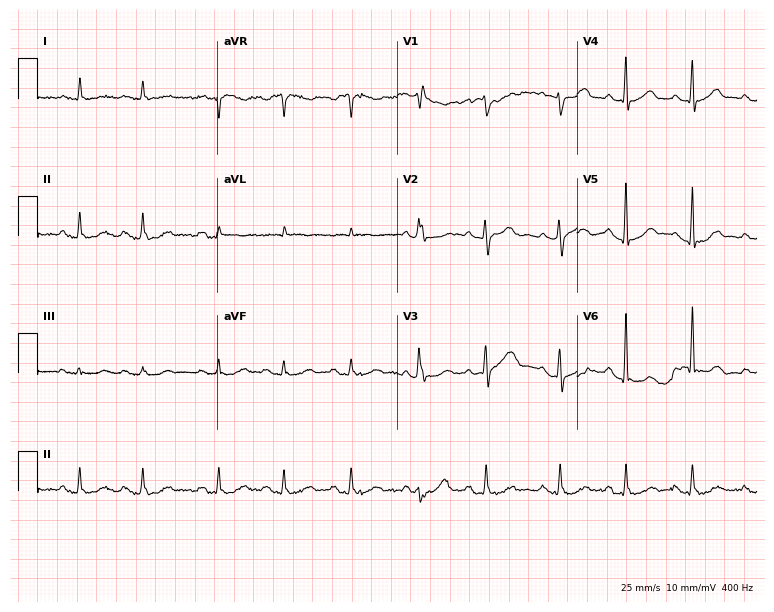
Electrocardiogram, an 83-year-old male. Of the six screened findings (first-degree AV block, right bundle branch block, left bundle branch block, sinus bradycardia, atrial fibrillation, sinus tachycardia), none is recorded.